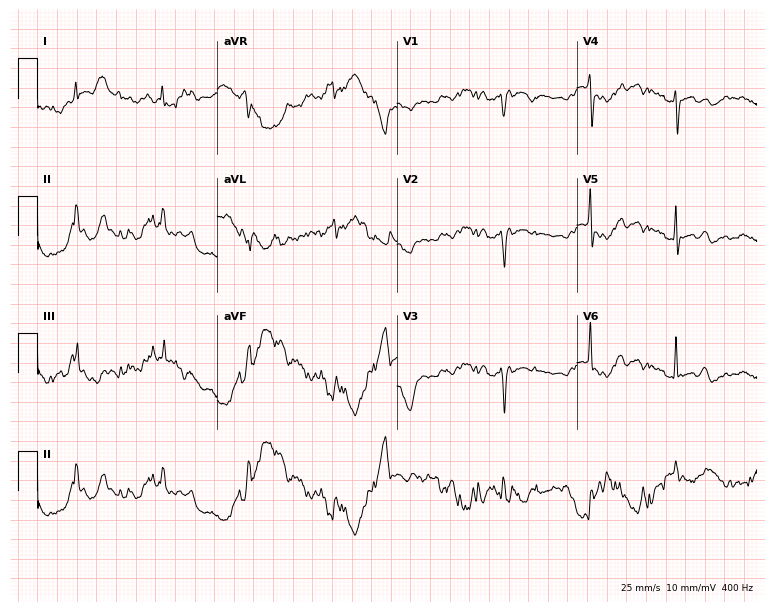
Electrocardiogram (7.3-second recording at 400 Hz), a female patient, 70 years old. Of the six screened findings (first-degree AV block, right bundle branch block, left bundle branch block, sinus bradycardia, atrial fibrillation, sinus tachycardia), none is recorded. Other findings, if any, are not listed.